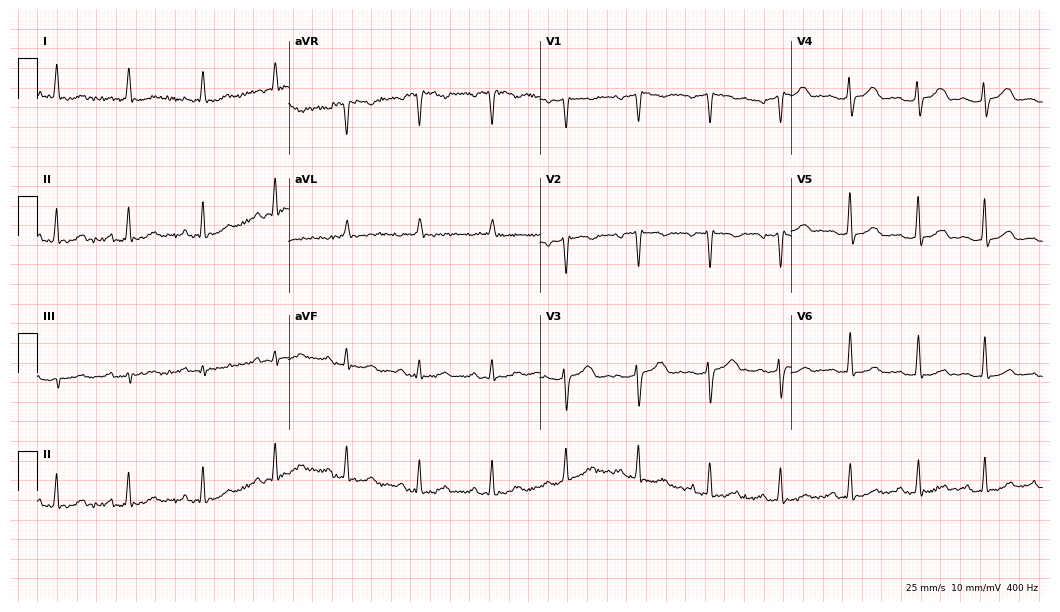
Standard 12-lead ECG recorded from a 47-year-old female patient (10.2-second recording at 400 Hz). None of these six findings is recorded: first-degree AV block, right bundle branch block, left bundle branch block, sinus bradycardia, atrial fibrillation, sinus tachycardia. Other findings, if any, are not listed.